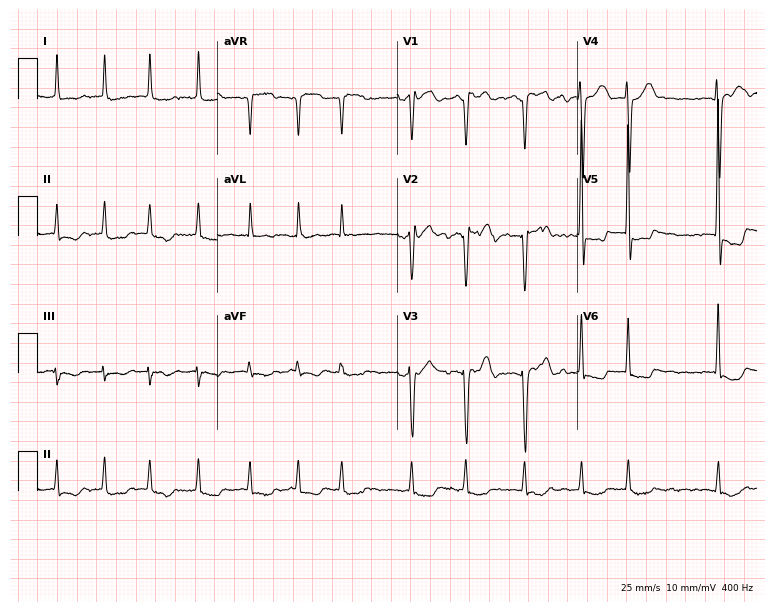
Standard 12-lead ECG recorded from a female, 75 years old. The tracing shows atrial fibrillation.